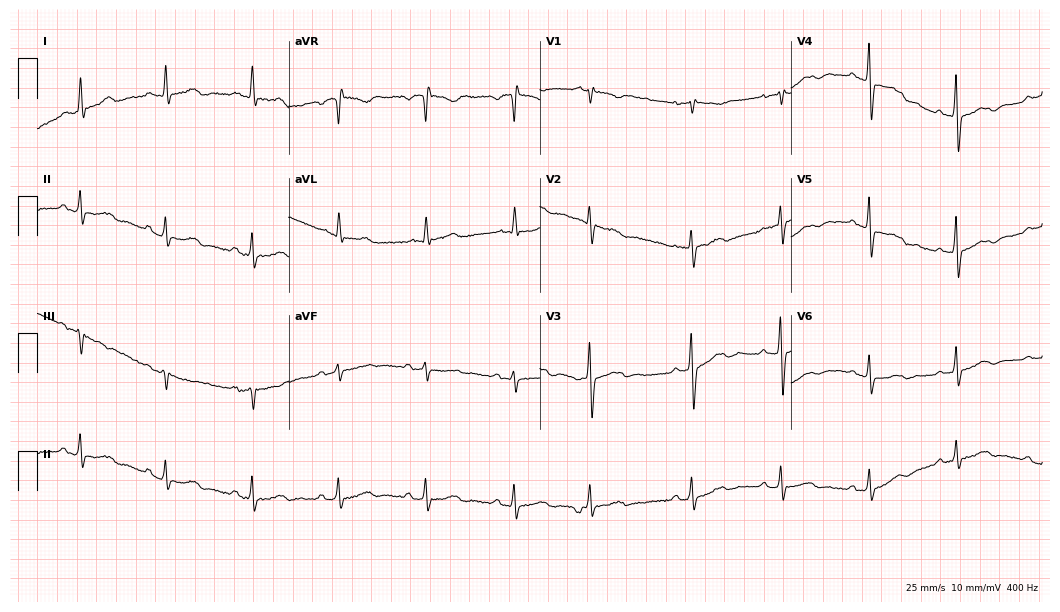
12-lead ECG (10.2-second recording at 400 Hz) from a male, 71 years old. Screened for six findings — first-degree AV block, right bundle branch block (RBBB), left bundle branch block (LBBB), sinus bradycardia, atrial fibrillation (AF), sinus tachycardia — none is recorded.